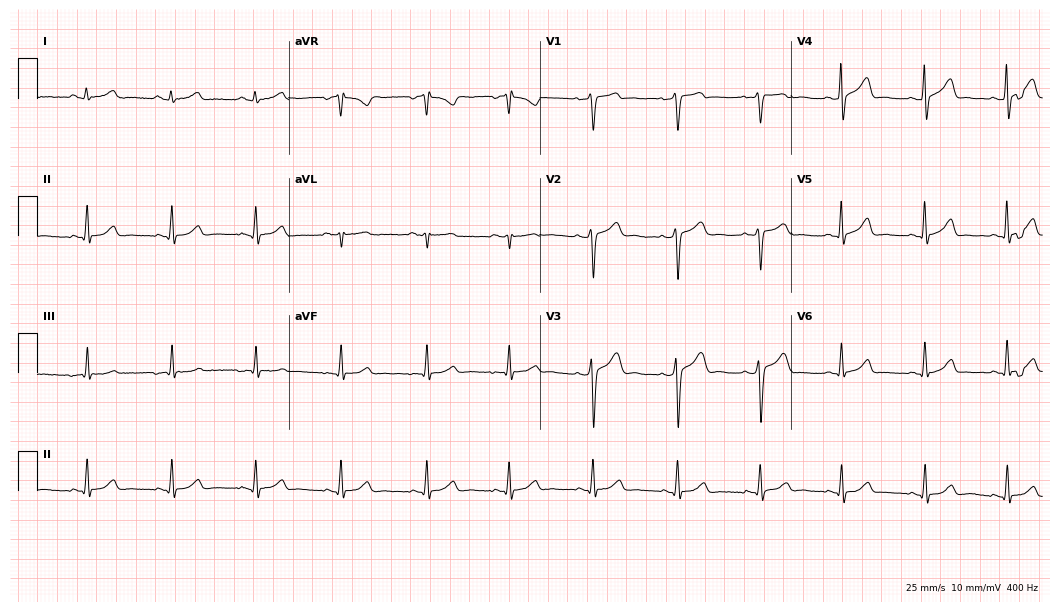
Resting 12-lead electrocardiogram. Patient: a male, 45 years old. Read as a normal ECG.